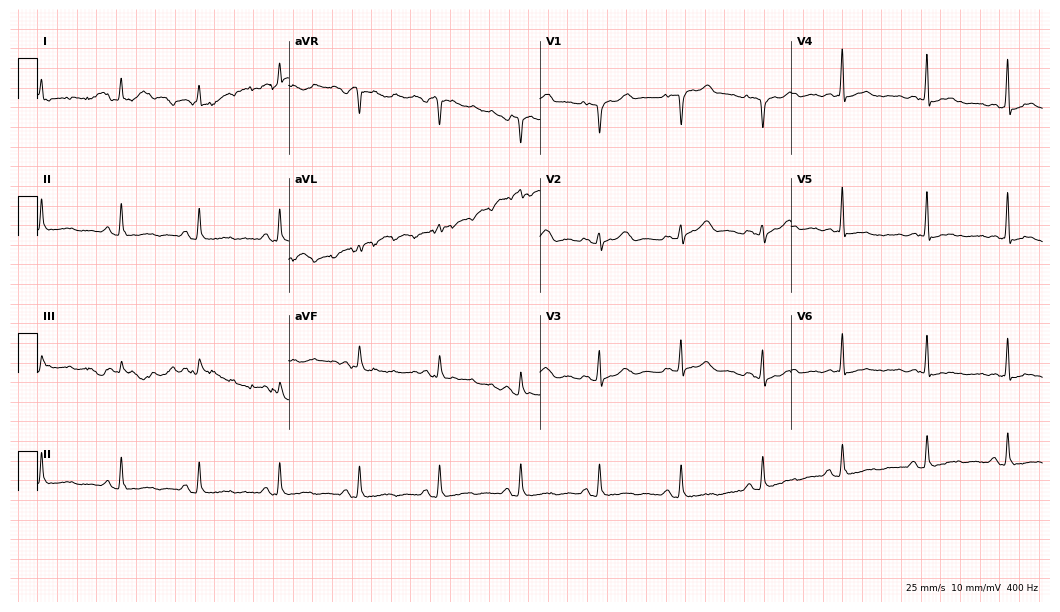
Electrocardiogram, a female, 62 years old. Overall reading on record: normal ECG.